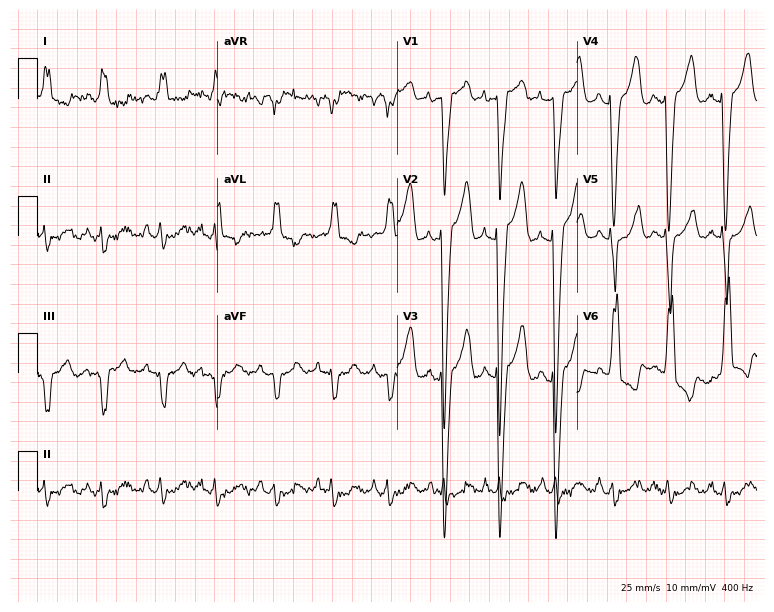
Standard 12-lead ECG recorded from an 82-year-old female (7.3-second recording at 400 Hz). The tracing shows left bundle branch block, sinus tachycardia (a sinus rate of 100 beats per minute or more).